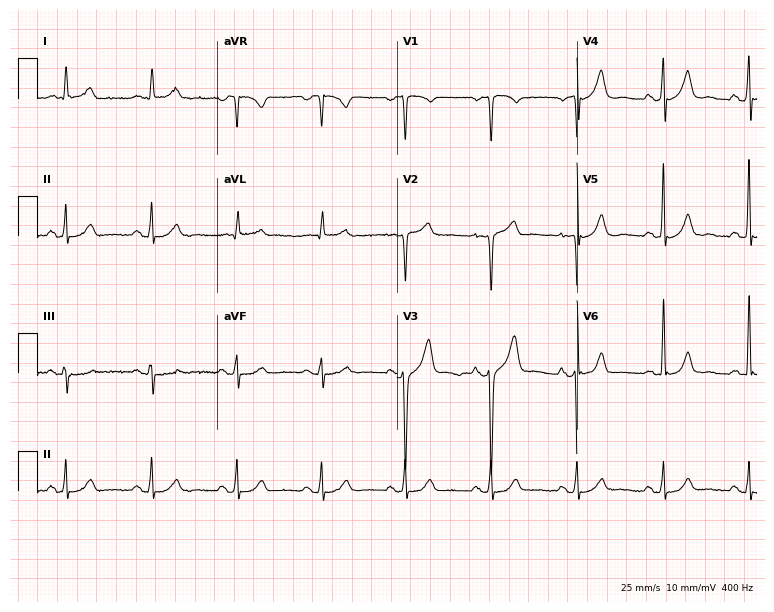
12-lead ECG from a 55-year-old male. Labelled as a normal ECG.